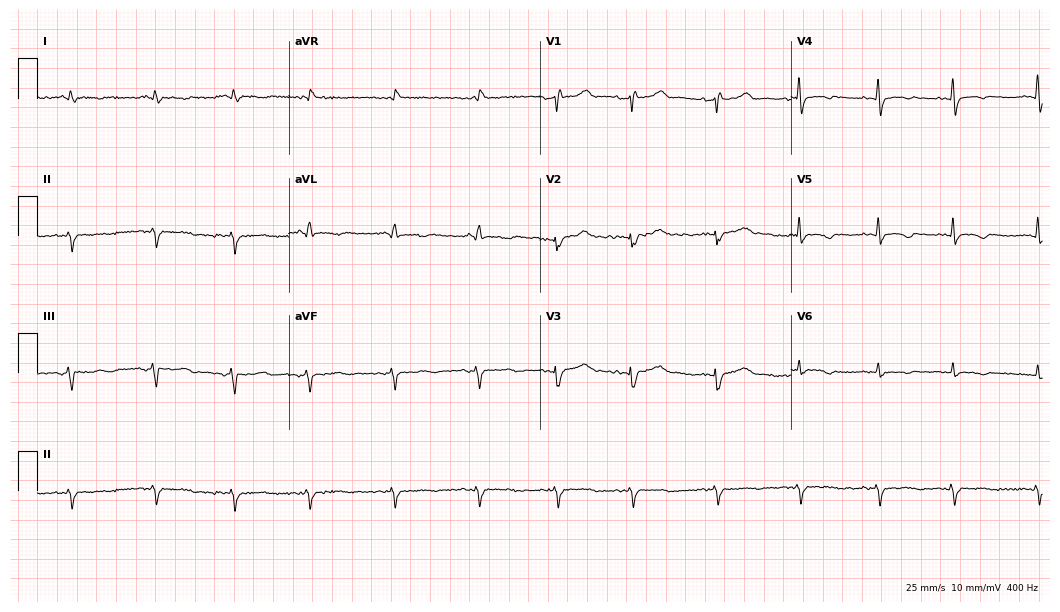
Resting 12-lead electrocardiogram. Patient: a man, 72 years old. None of these six findings is recorded: first-degree AV block, right bundle branch block, left bundle branch block, sinus bradycardia, atrial fibrillation, sinus tachycardia. Findings outside these six are not listed.